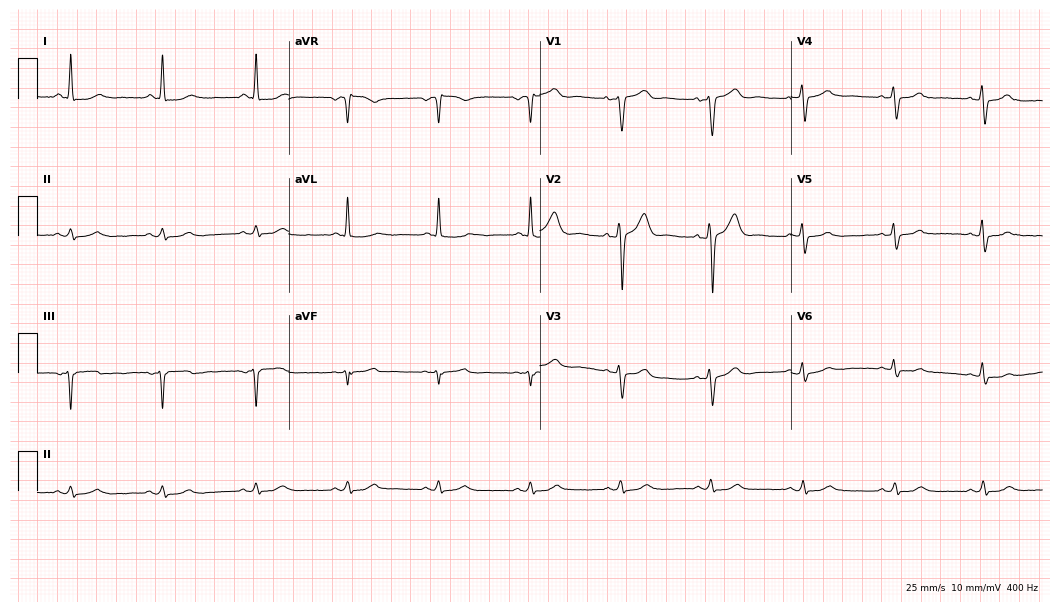
12-lead ECG from a man, 59 years old. Recorded interpretation: within normal limits.